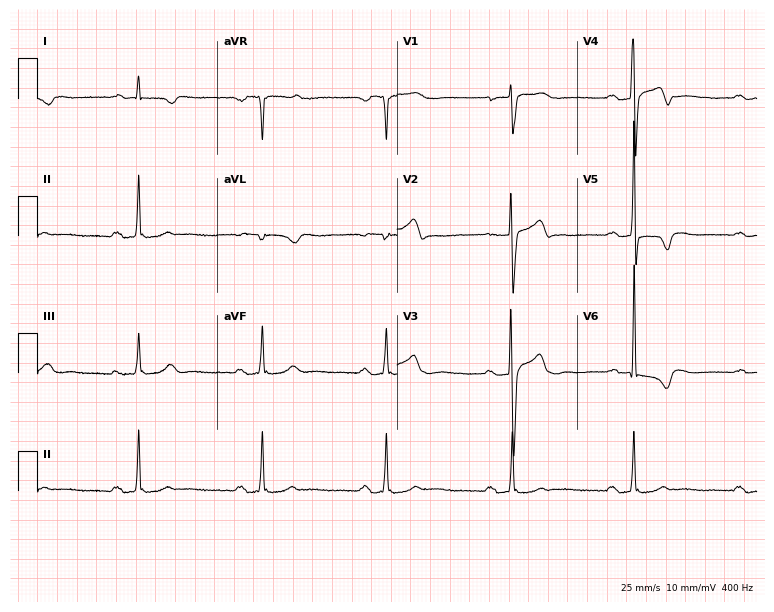
12-lead ECG from a male, 56 years old. Shows sinus bradycardia (a sinus rate of 50 beats per minute or less).